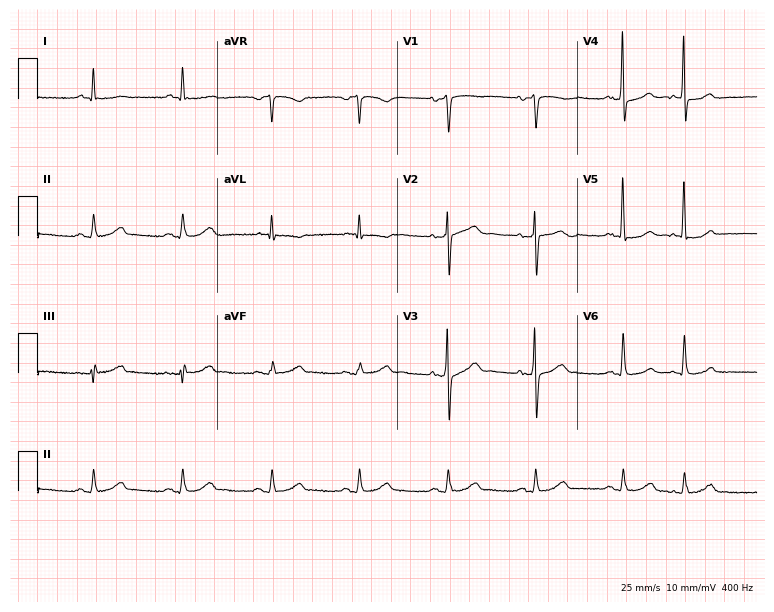
Electrocardiogram, a 77-year-old male. Of the six screened findings (first-degree AV block, right bundle branch block, left bundle branch block, sinus bradycardia, atrial fibrillation, sinus tachycardia), none is recorded. Only these six findings were labelled.